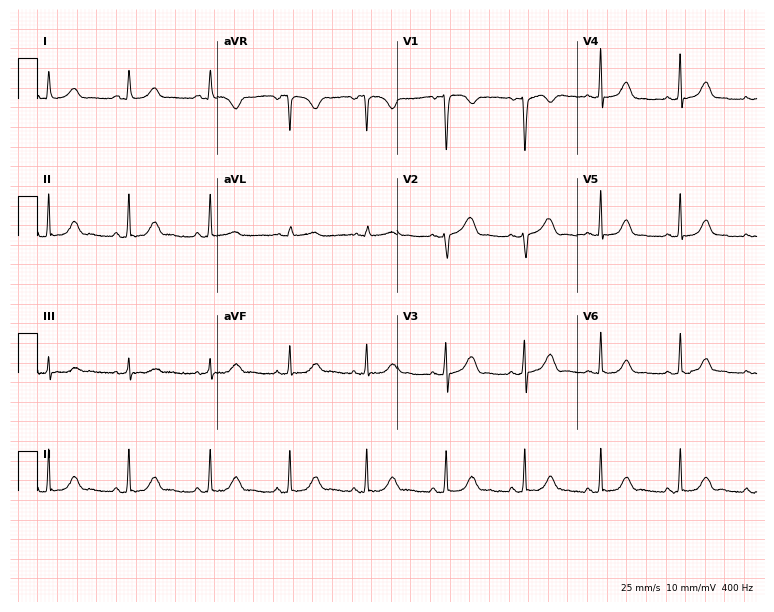
12-lead ECG from a woman, 26 years old. No first-degree AV block, right bundle branch block, left bundle branch block, sinus bradycardia, atrial fibrillation or sinus tachycardia recorded for this tracing. Other findings, if any, are not listed.